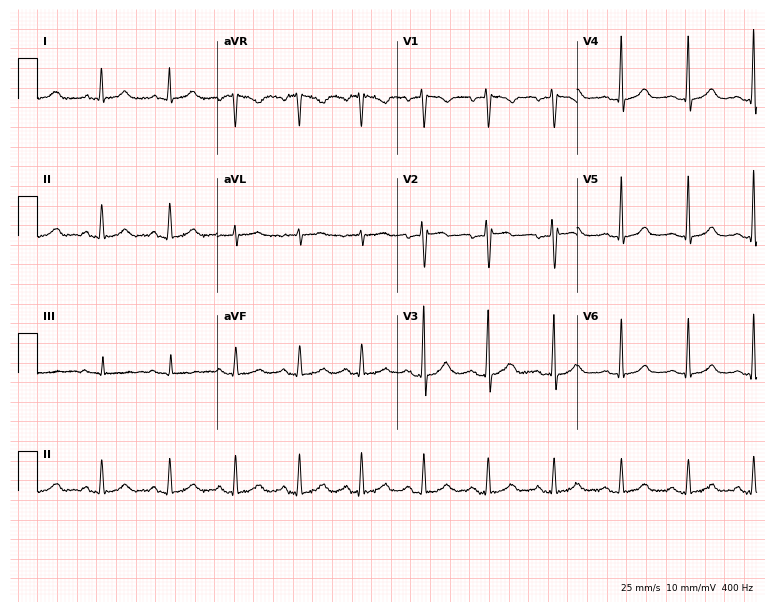
Standard 12-lead ECG recorded from a female, 39 years old (7.3-second recording at 400 Hz). None of these six findings is recorded: first-degree AV block, right bundle branch block, left bundle branch block, sinus bradycardia, atrial fibrillation, sinus tachycardia.